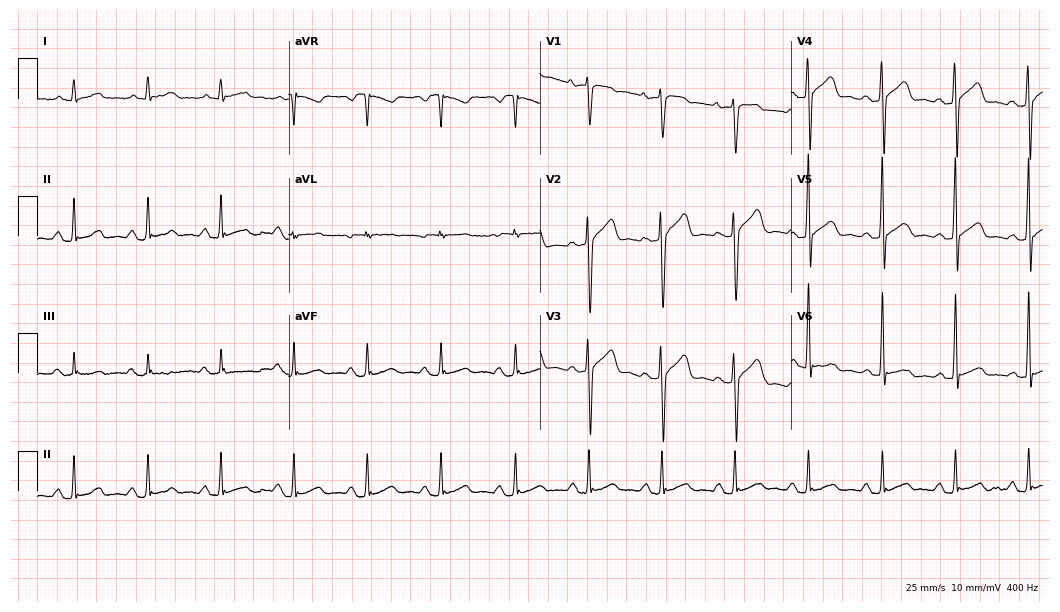
Resting 12-lead electrocardiogram (10.2-second recording at 400 Hz). Patient: a man, 49 years old. None of these six findings is recorded: first-degree AV block, right bundle branch block, left bundle branch block, sinus bradycardia, atrial fibrillation, sinus tachycardia. Findings outside these six are not listed.